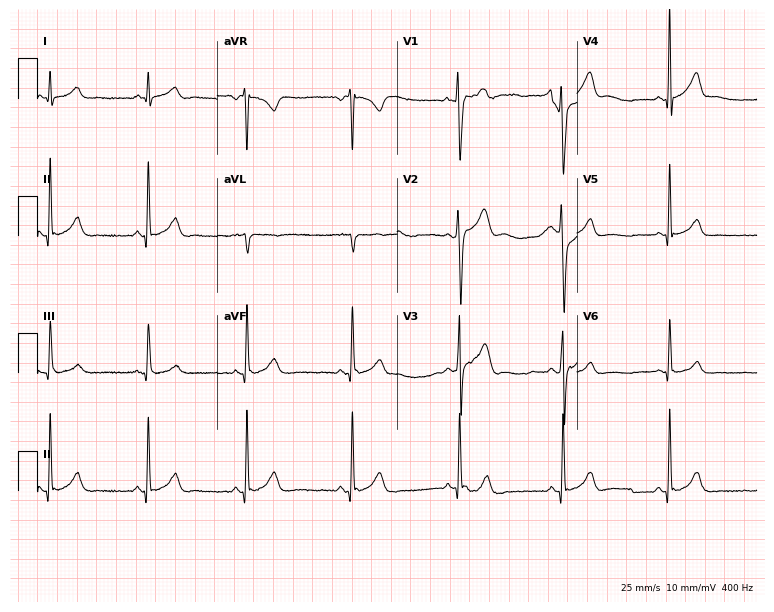
12-lead ECG from a 26-year-old man. No first-degree AV block, right bundle branch block (RBBB), left bundle branch block (LBBB), sinus bradycardia, atrial fibrillation (AF) or sinus tachycardia recorded for this tracing. Only these six findings were labelled.